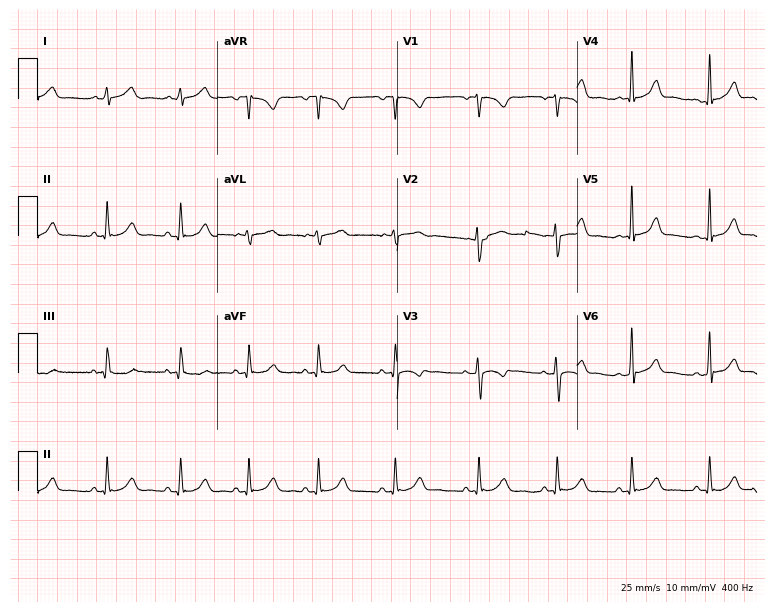
Resting 12-lead electrocardiogram (7.3-second recording at 400 Hz). Patient: a 22-year-old female. Read as a normal ECG.